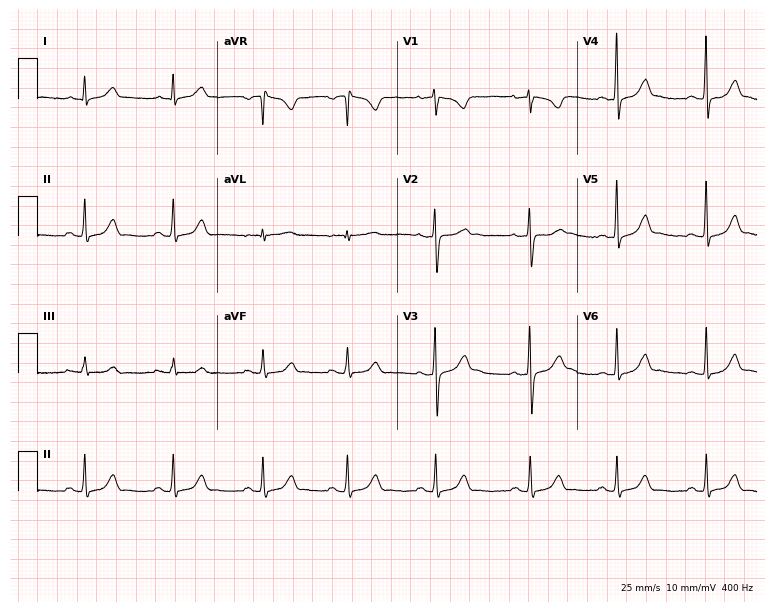
Standard 12-lead ECG recorded from a female, 32 years old. Read as a normal ECG.